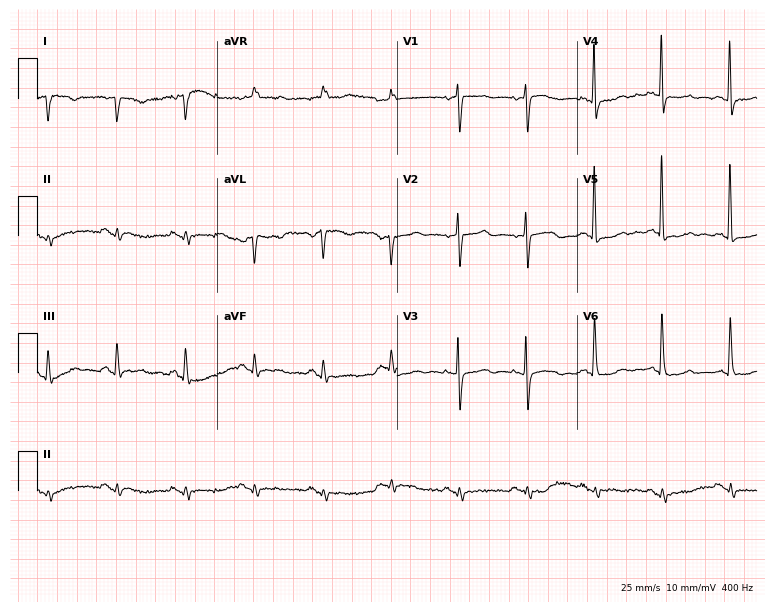
Electrocardiogram (7.3-second recording at 400 Hz), an 83-year-old woman. Of the six screened findings (first-degree AV block, right bundle branch block, left bundle branch block, sinus bradycardia, atrial fibrillation, sinus tachycardia), none is recorded. Other findings, if any, are not listed.